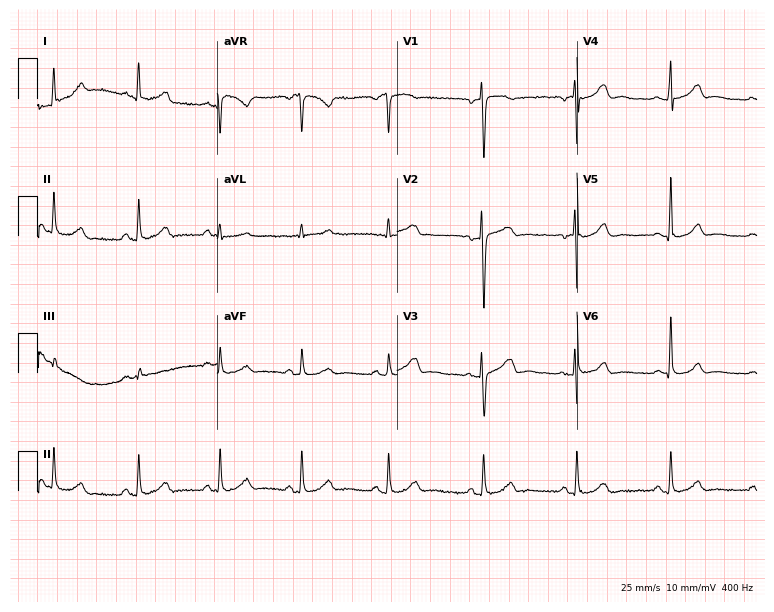
Resting 12-lead electrocardiogram. Patient: a 53-year-old female. Read as a normal ECG.